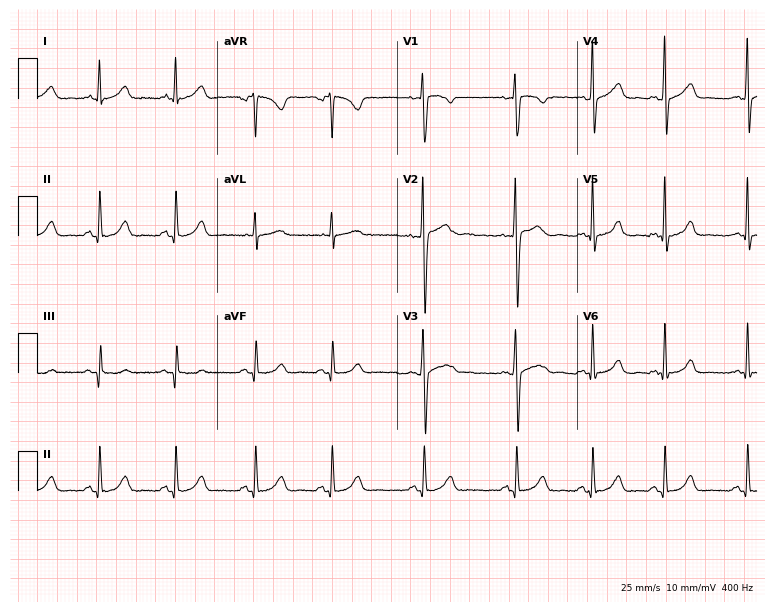
Resting 12-lead electrocardiogram (7.3-second recording at 400 Hz). Patient: a 32-year-old woman. None of these six findings is recorded: first-degree AV block, right bundle branch block, left bundle branch block, sinus bradycardia, atrial fibrillation, sinus tachycardia.